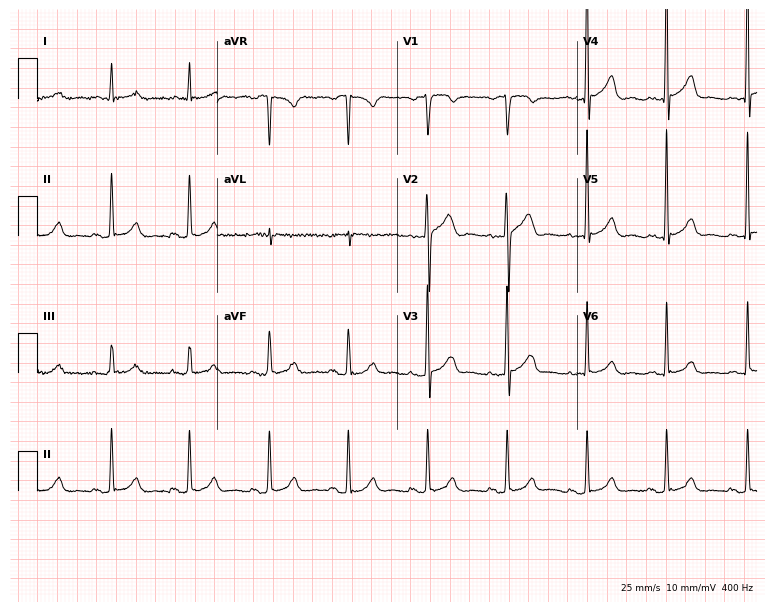
12-lead ECG (7.3-second recording at 400 Hz) from a 55-year-old male patient. Screened for six findings — first-degree AV block, right bundle branch block, left bundle branch block, sinus bradycardia, atrial fibrillation, sinus tachycardia — none is recorded. Findings outside these six are not listed.